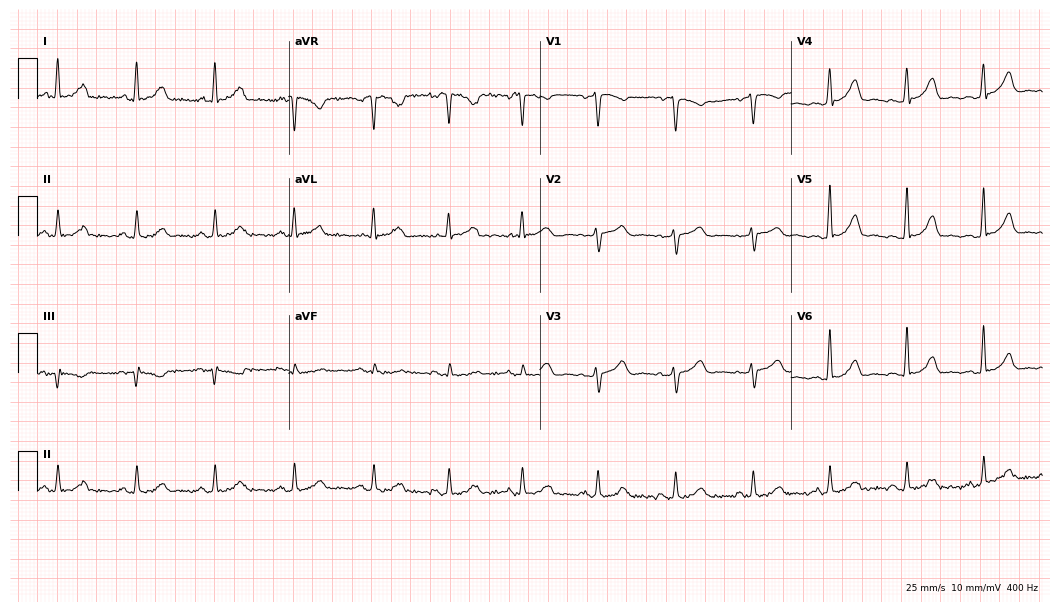
Resting 12-lead electrocardiogram. Patient: a woman, 51 years old. Read as a normal ECG.